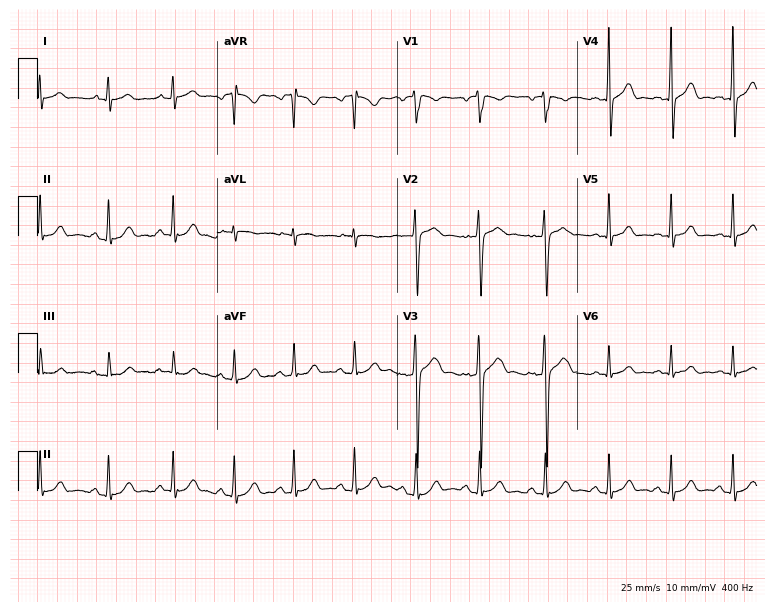
12-lead ECG from a man, 17 years old. Recorded interpretation: within normal limits.